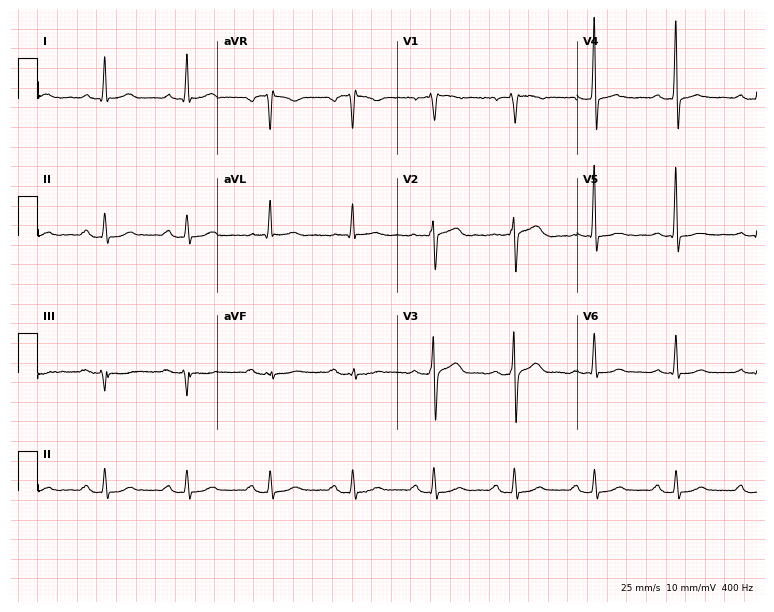
12-lead ECG from a 64-year-old male patient (7.3-second recording at 400 Hz). No first-degree AV block, right bundle branch block, left bundle branch block, sinus bradycardia, atrial fibrillation or sinus tachycardia recorded for this tracing.